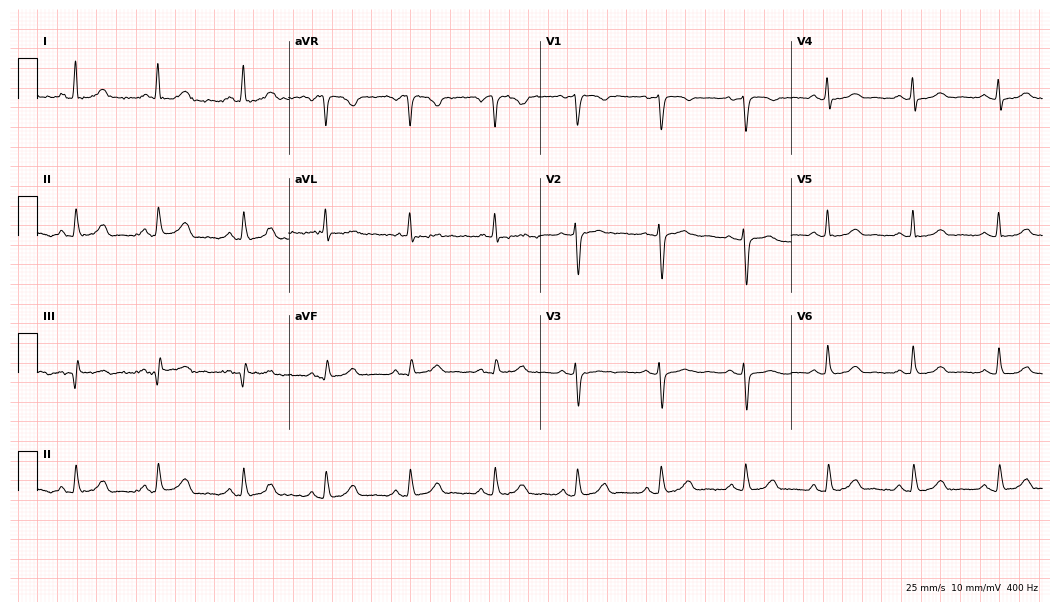
Standard 12-lead ECG recorded from a 52-year-old woman. Read as a normal ECG.